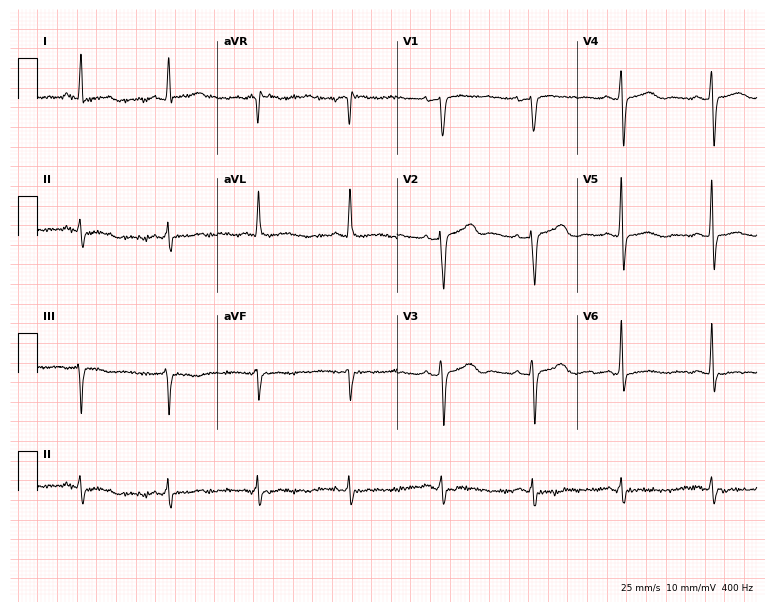
Standard 12-lead ECG recorded from a woman, 72 years old. None of these six findings is recorded: first-degree AV block, right bundle branch block, left bundle branch block, sinus bradycardia, atrial fibrillation, sinus tachycardia. Only these six findings were labelled.